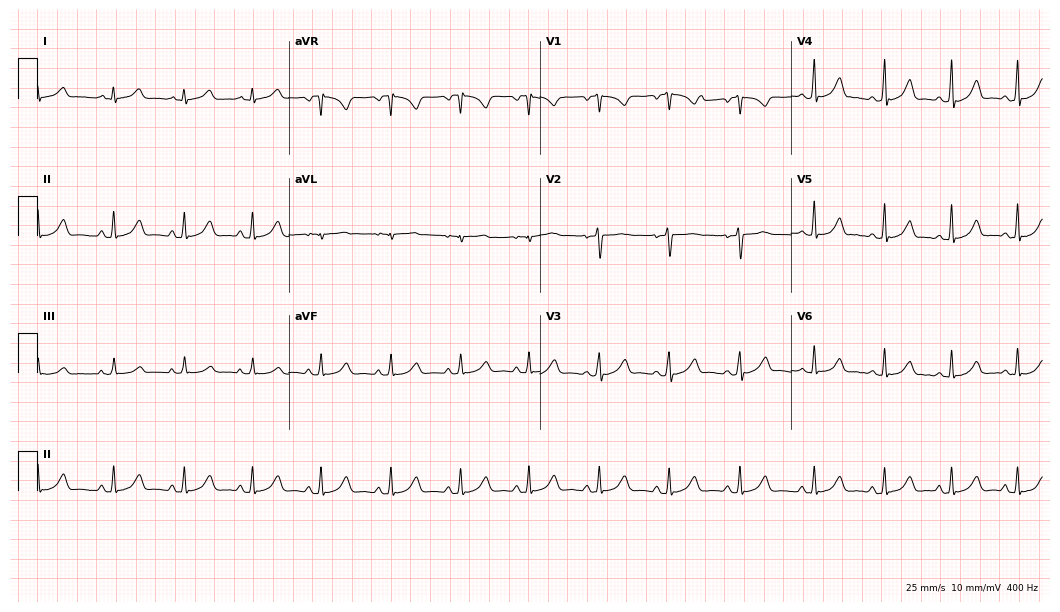
ECG — a female patient, 31 years old. Screened for six findings — first-degree AV block, right bundle branch block, left bundle branch block, sinus bradycardia, atrial fibrillation, sinus tachycardia — none is recorded. Other findings, if any, are not listed.